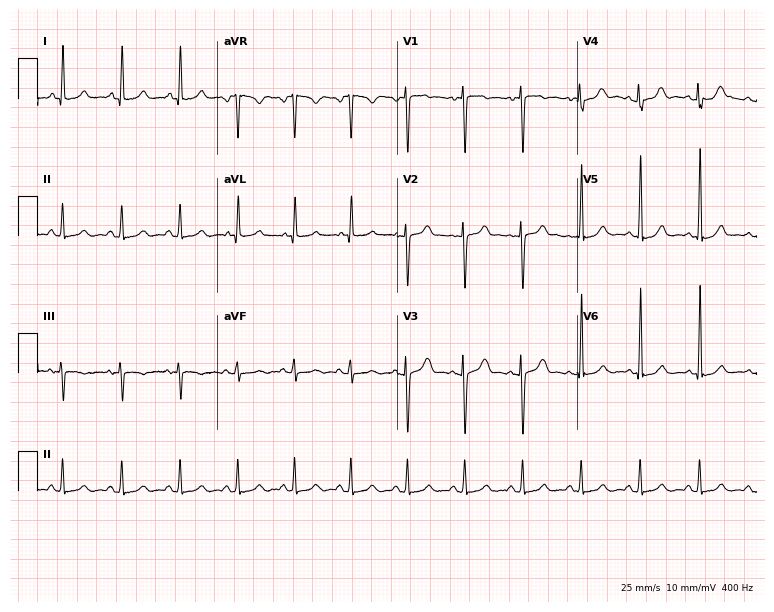
12-lead ECG from a female patient, 35 years old (7.3-second recording at 400 Hz). Shows sinus tachycardia (a sinus rate of 100 beats per minute or more).